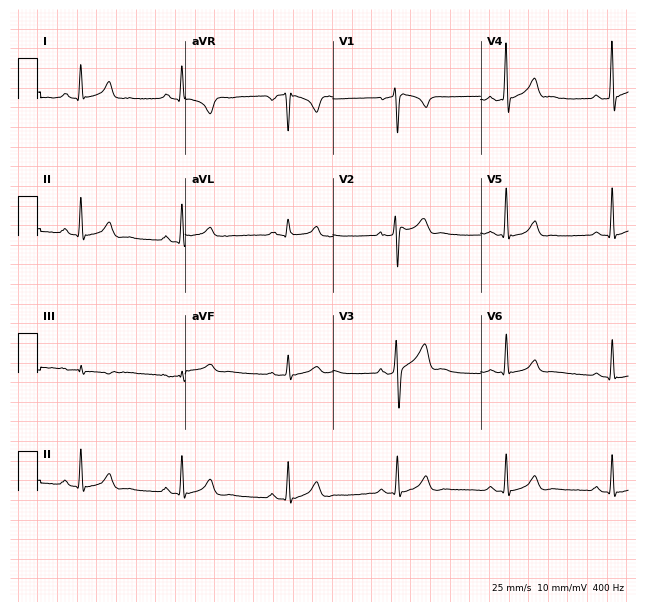
ECG — a 39-year-old man. Labelled as a normal ECG.